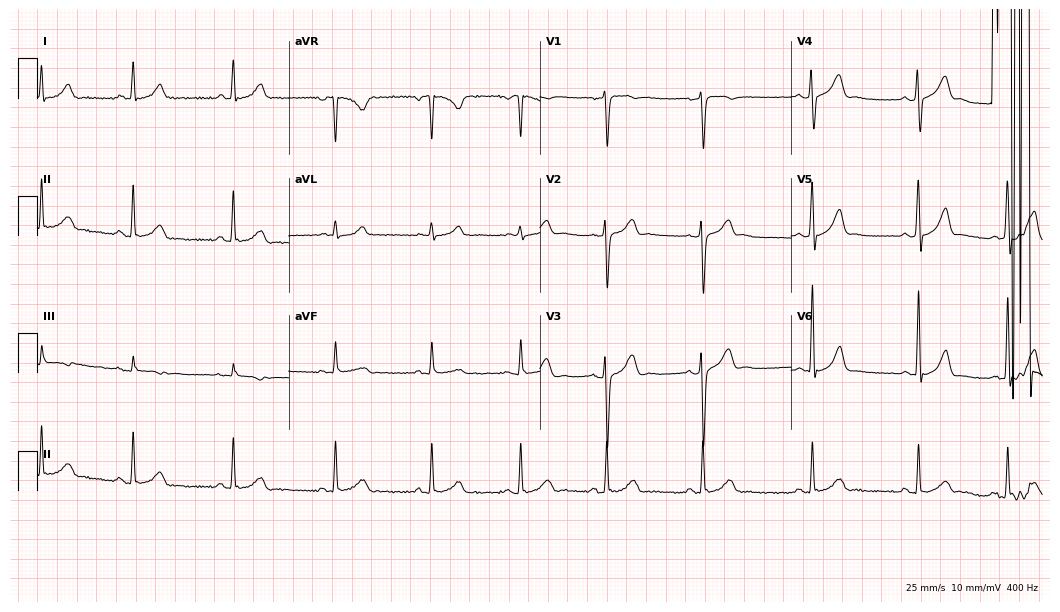
Standard 12-lead ECG recorded from a 39-year-old male patient (10.2-second recording at 400 Hz). Read as a normal ECG.